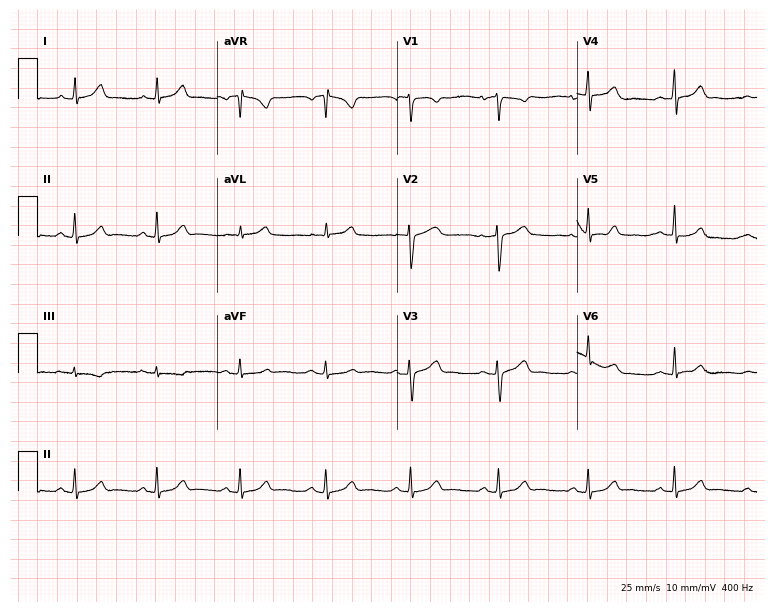
ECG (7.3-second recording at 400 Hz) — a female patient, 38 years old. Labelled as a normal ECG.